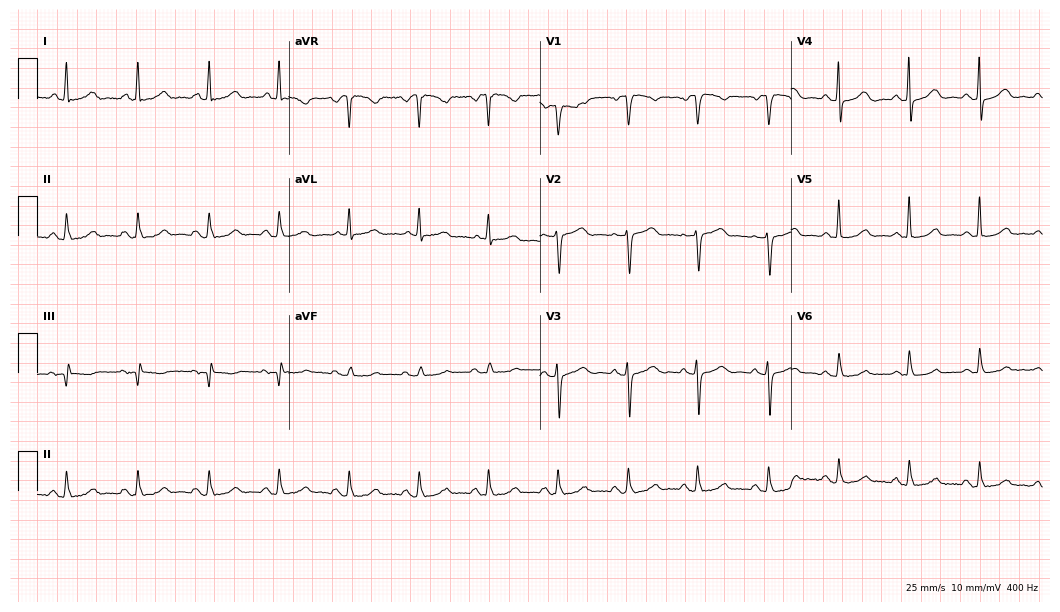
Standard 12-lead ECG recorded from a 68-year-old female patient. Read as a normal ECG.